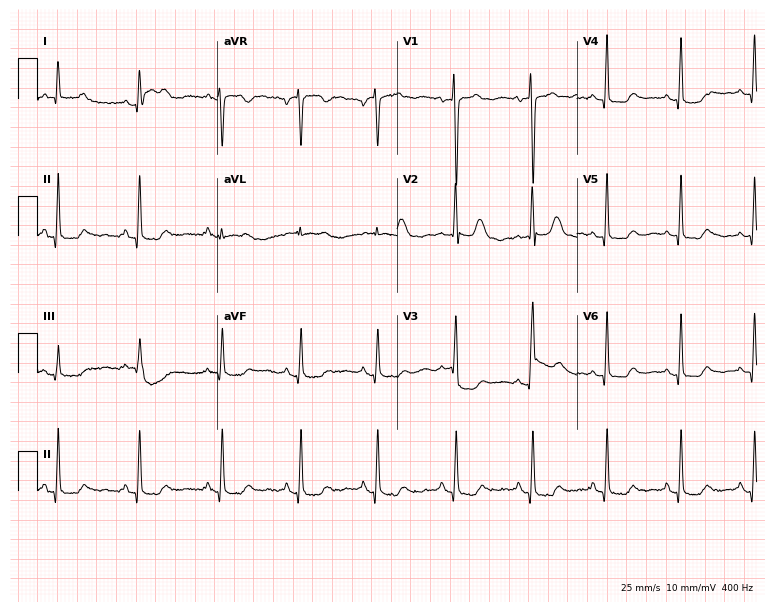
Standard 12-lead ECG recorded from a woman, 78 years old. None of these six findings is recorded: first-degree AV block, right bundle branch block (RBBB), left bundle branch block (LBBB), sinus bradycardia, atrial fibrillation (AF), sinus tachycardia.